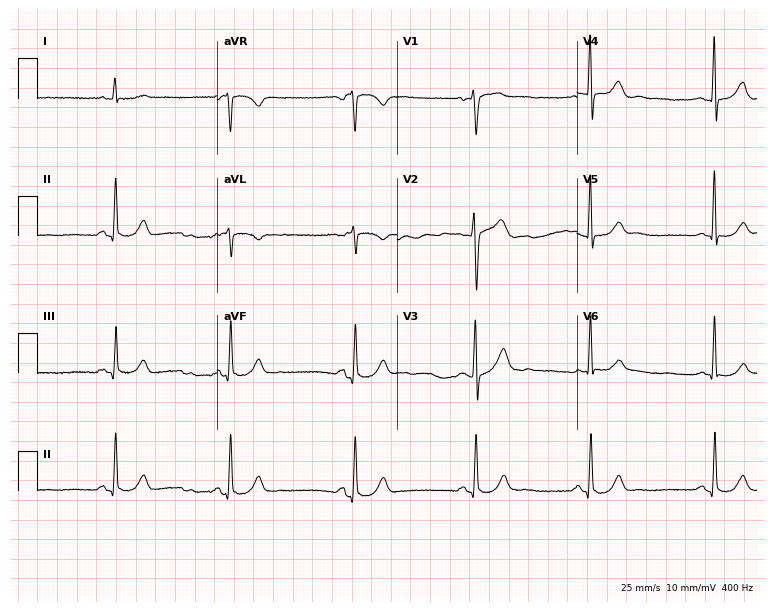
ECG — a 59-year-old male. Findings include sinus bradycardia (a sinus rate of 50 beats per minute or less).